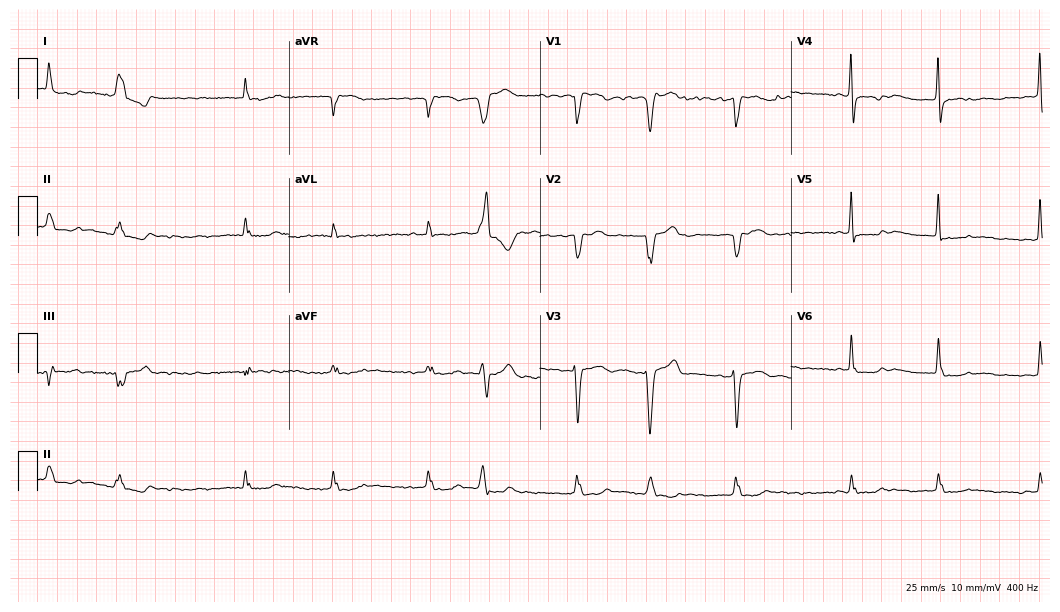
12-lead ECG (10.2-second recording at 400 Hz) from a woman, 75 years old. Findings include atrial fibrillation.